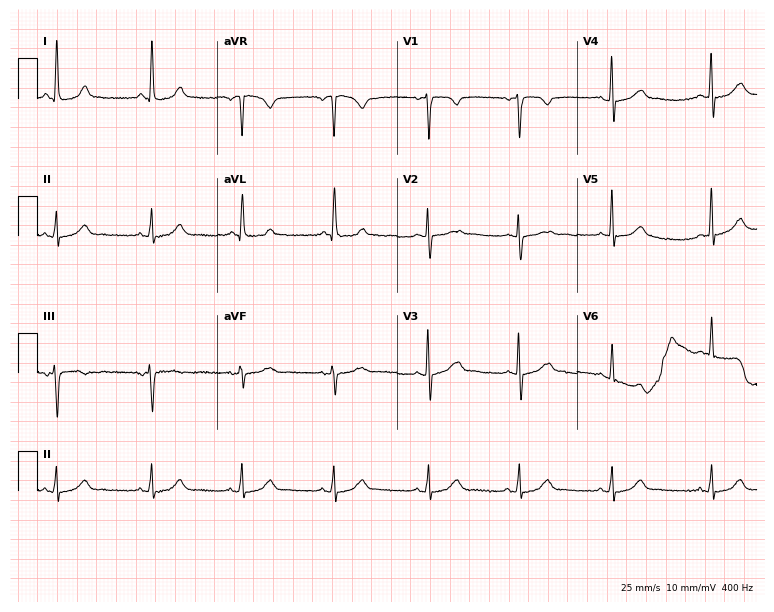
Electrocardiogram, a female, 28 years old. Of the six screened findings (first-degree AV block, right bundle branch block, left bundle branch block, sinus bradycardia, atrial fibrillation, sinus tachycardia), none is recorded.